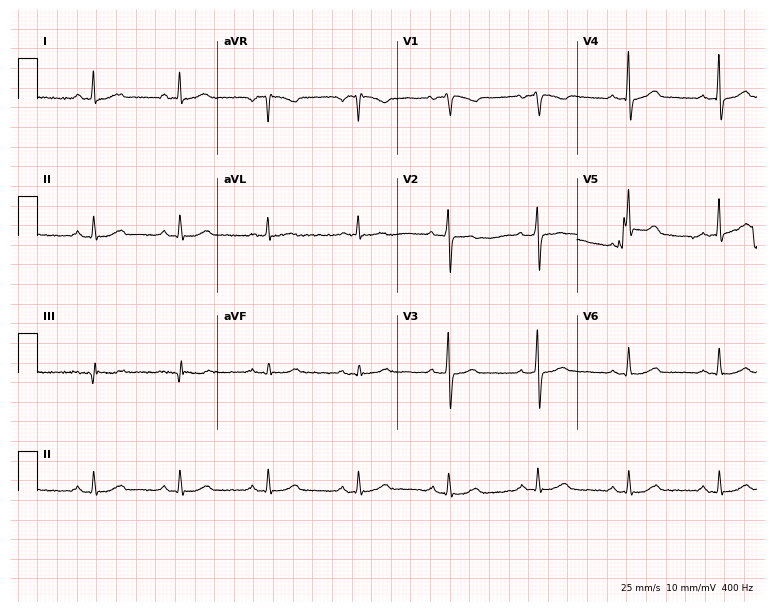
12-lead ECG (7.3-second recording at 400 Hz) from a woman, 58 years old. Screened for six findings — first-degree AV block, right bundle branch block, left bundle branch block, sinus bradycardia, atrial fibrillation, sinus tachycardia — none is recorded. Other findings, if any, are not listed.